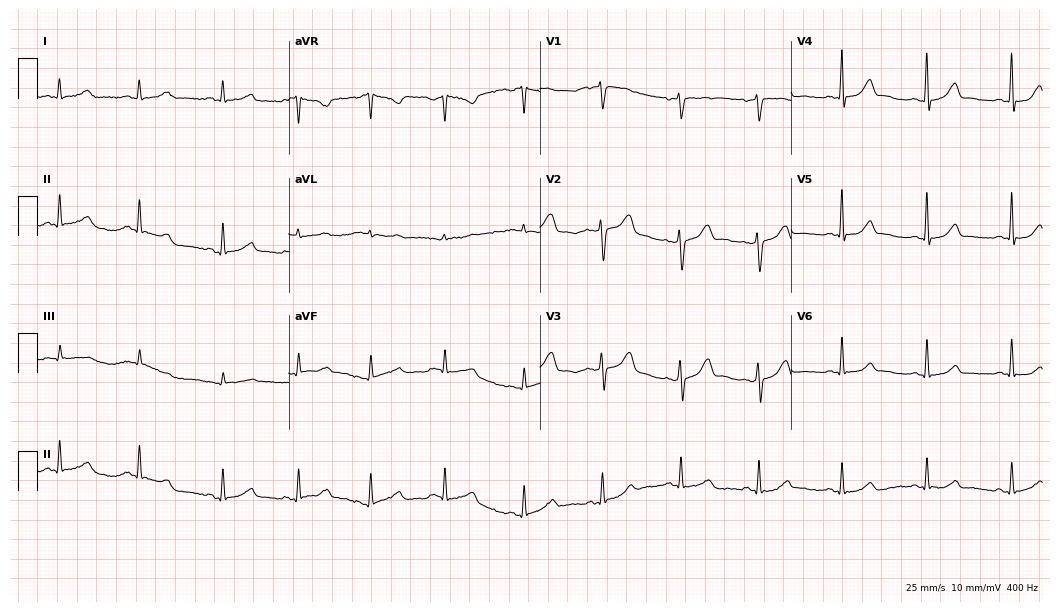
Standard 12-lead ECG recorded from a 41-year-old woman. Read as a normal ECG.